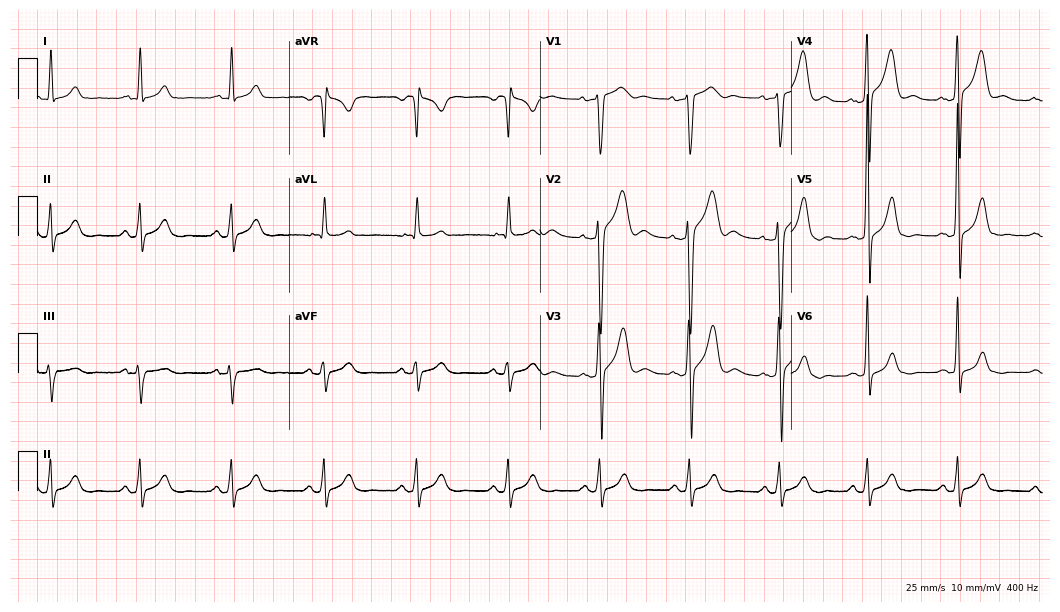
ECG (10.2-second recording at 400 Hz) — a 36-year-old male. Labelled as a normal ECG.